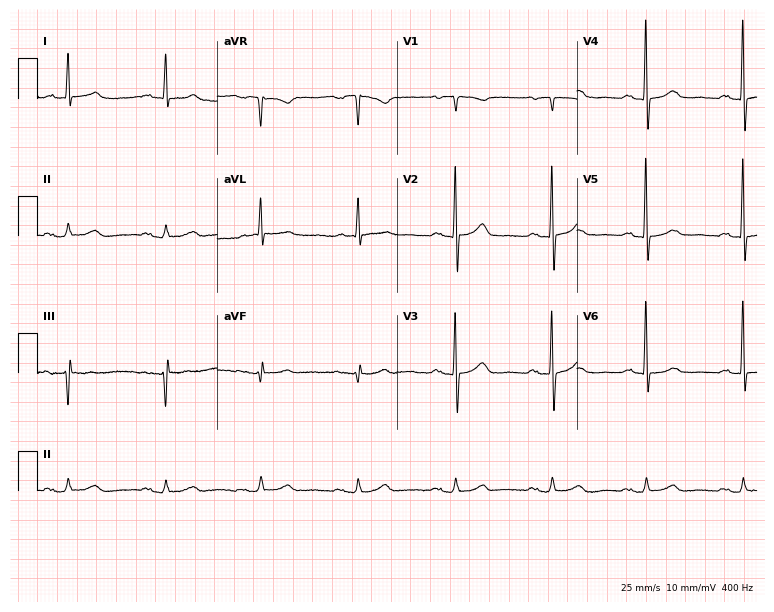
12-lead ECG (7.3-second recording at 400 Hz) from a female, 83 years old. Labelled as a normal ECG.